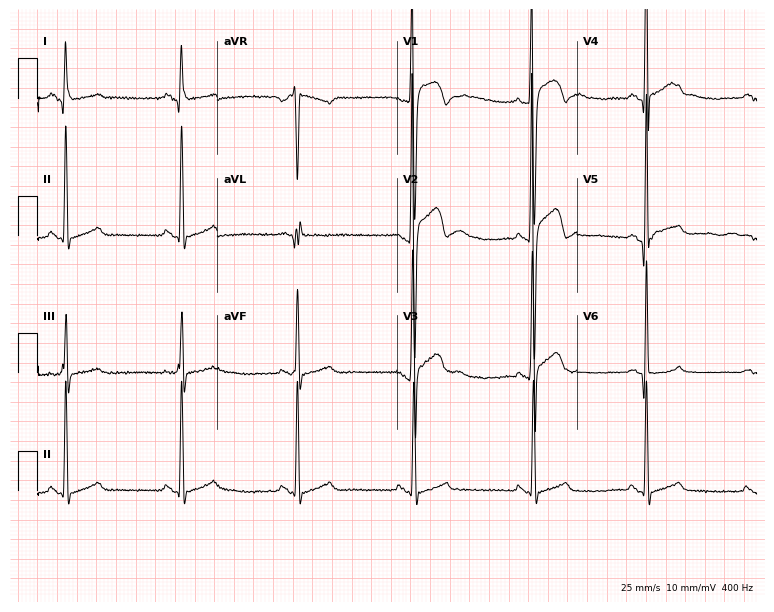
Resting 12-lead electrocardiogram. Patient: a 17-year-old man. None of these six findings is recorded: first-degree AV block, right bundle branch block, left bundle branch block, sinus bradycardia, atrial fibrillation, sinus tachycardia. Only these six findings were labelled.